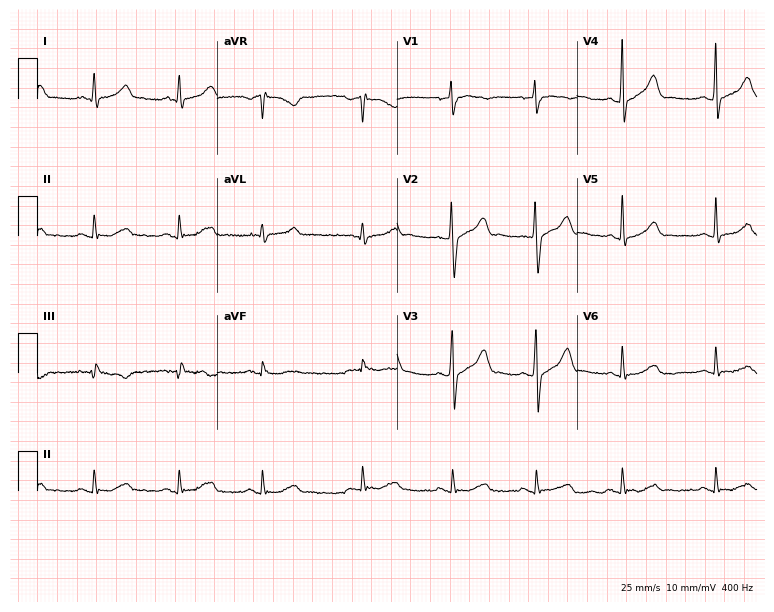
ECG — a male, 52 years old. Labelled as a normal ECG.